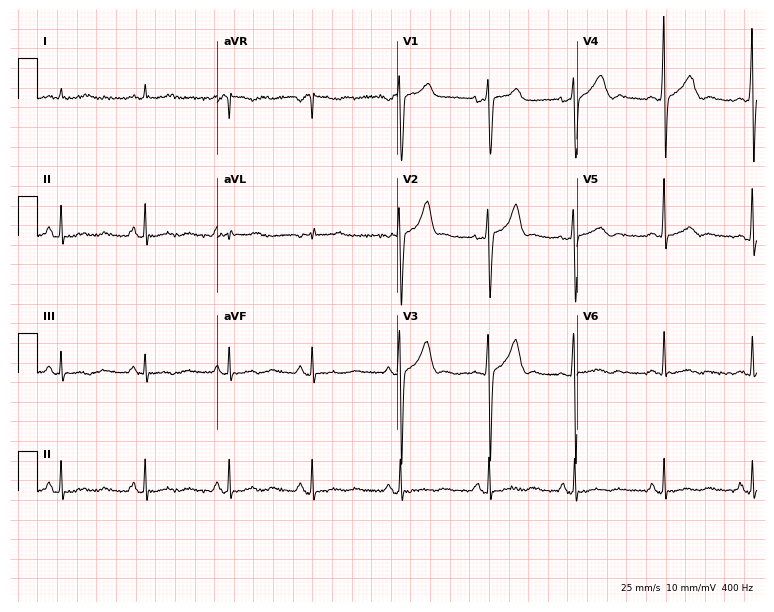
Standard 12-lead ECG recorded from a male, 42 years old (7.3-second recording at 400 Hz). None of these six findings is recorded: first-degree AV block, right bundle branch block, left bundle branch block, sinus bradycardia, atrial fibrillation, sinus tachycardia. Other findings, if any, are not listed.